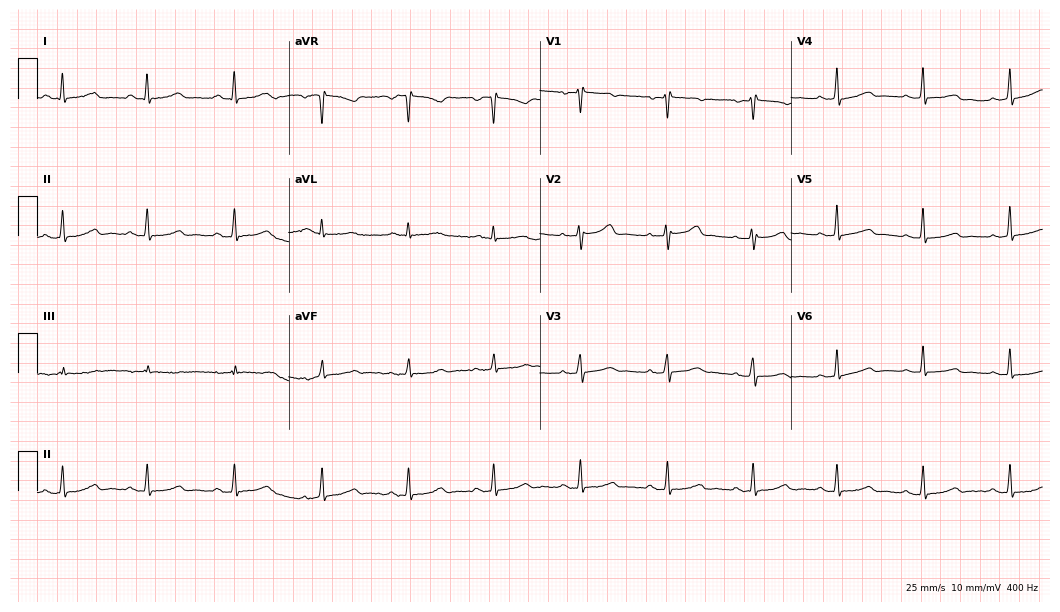
12-lead ECG from a 39-year-old woman (10.2-second recording at 400 Hz). Recorded interpretation: within normal limits.